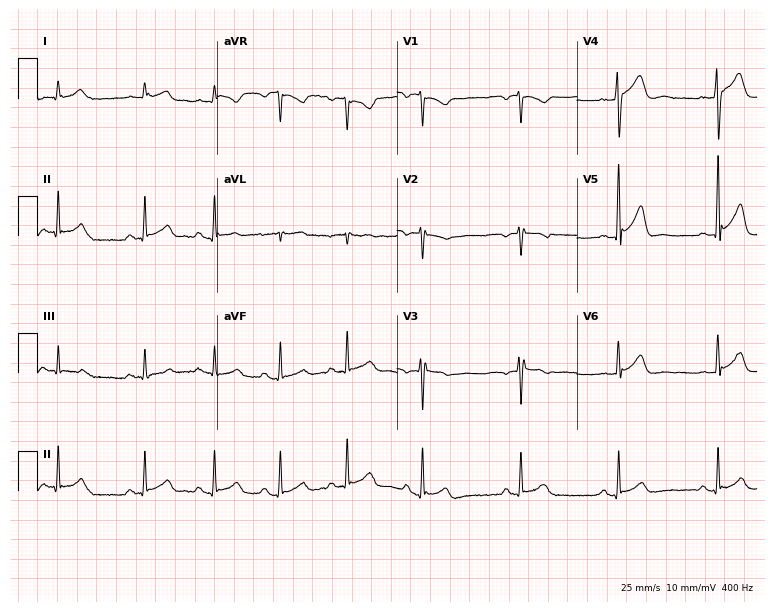
12-lead ECG from a male, 21 years old (7.3-second recording at 400 Hz). Recorded interpretation: within normal limits.